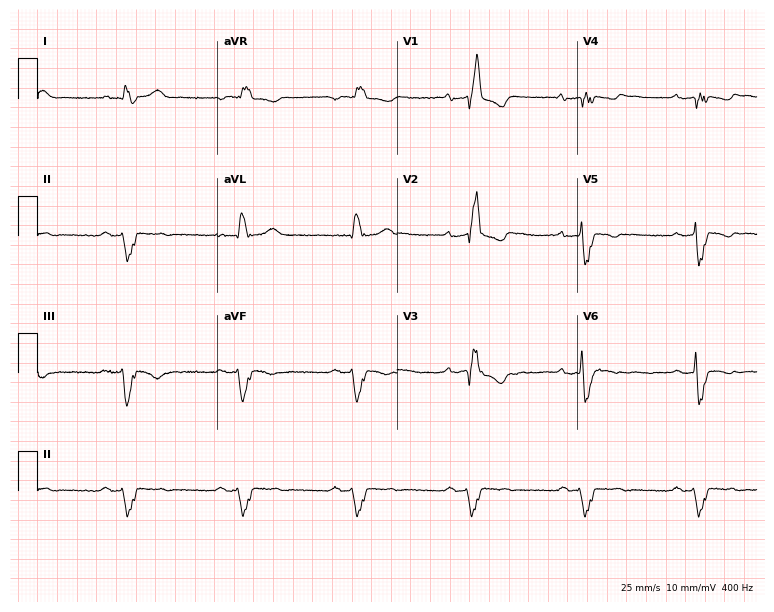
ECG (7.3-second recording at 400 Hz) — a 58-year-old man. Findings include right bundle branch block.